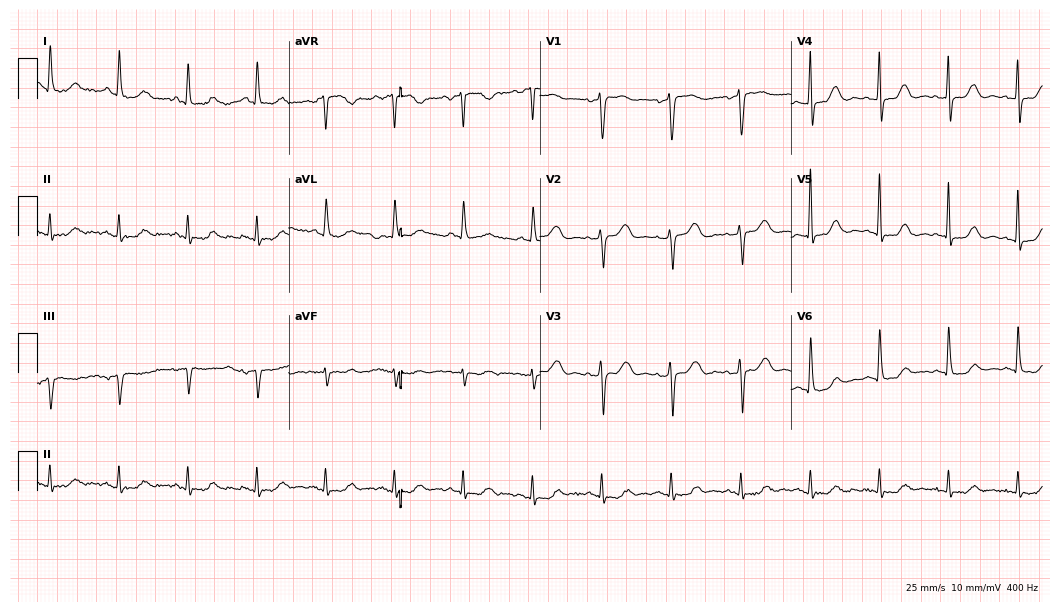
Electrocardiogram (10.2-second recording at 400 Hz), a 70-year-old female. Overall reading on record: normal ECG.